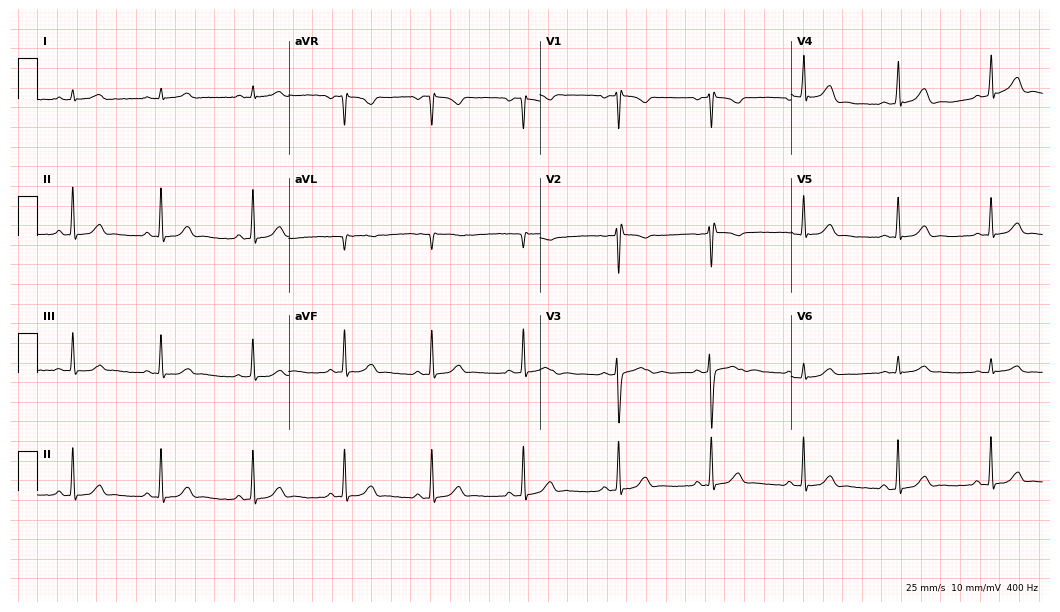
ECG — a female, 26 years old. Screened for six findings — first-degree AV block, right bundle branch block (RBBB), left bundle branch block (LBBB), sinus bradycardia, atrial fibrillation (AF), sinus tachycardia — none is recorded. Other findings, if any, are not listed.